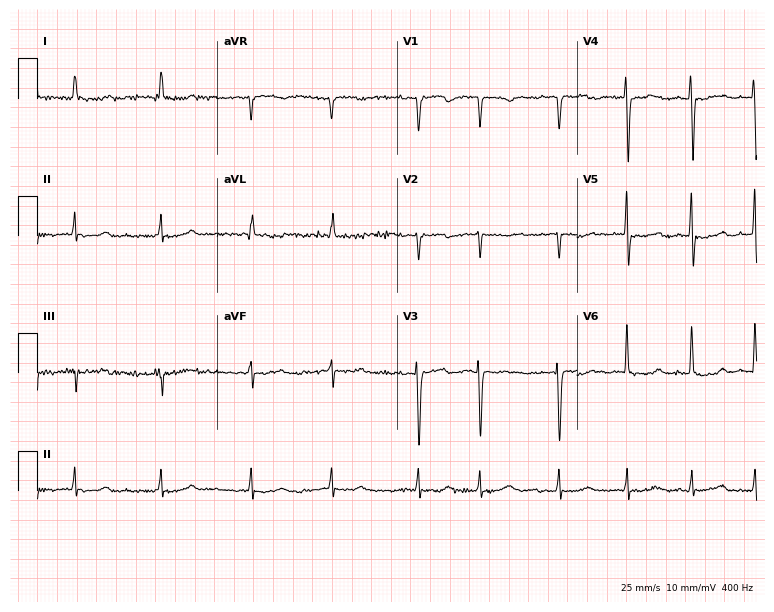
Standard 12-lead ECG recorded from a female patient, 74 years old (7.3-second recording at 400 Hz). None of these six findings is recorded: first-degree AV block, right bundle branch block, left bundle branch block, sinus bradycardia, atrial fibrillation, sinus tachycardia. Findings outside these six are not listed.